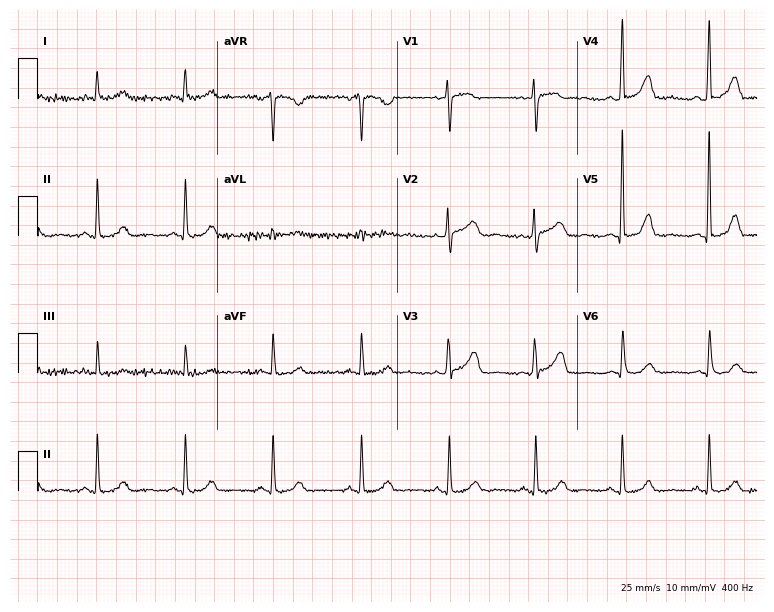
Electrocardiogram (7.3-second recording at 400 Hz), a woman, 57 years old. Overall reading on record: normal ECG.